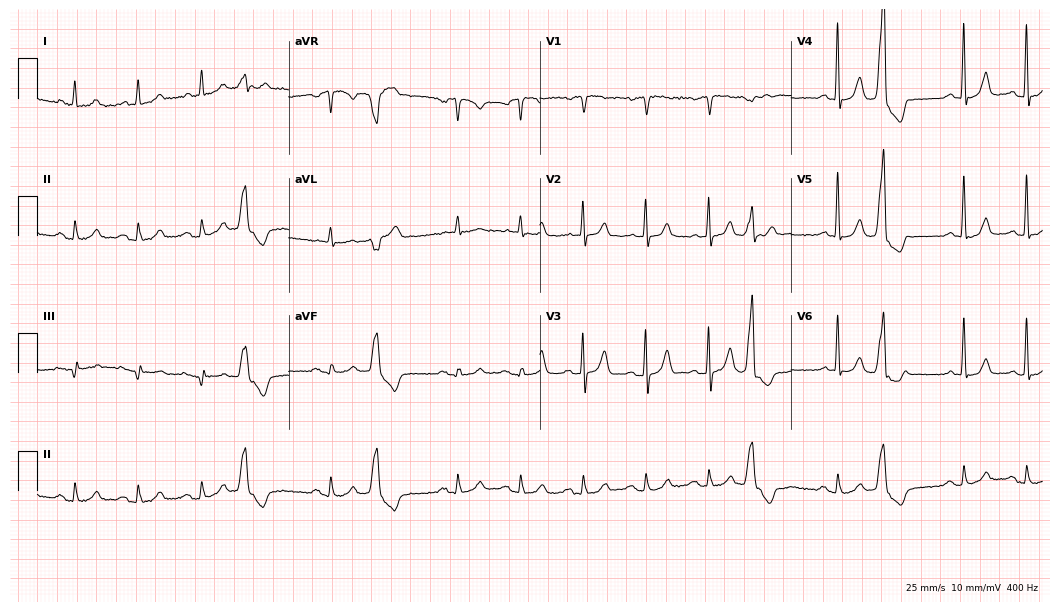
12-lead ECG from a male patient, 85 years old. Screened for six findings — first-degree AV block, right bundle branch block, left bundle branch block, sinus bradycardia, atrial fibrillation, sinus tachycardia — none is recorded. Other findings, if any, are not listed.